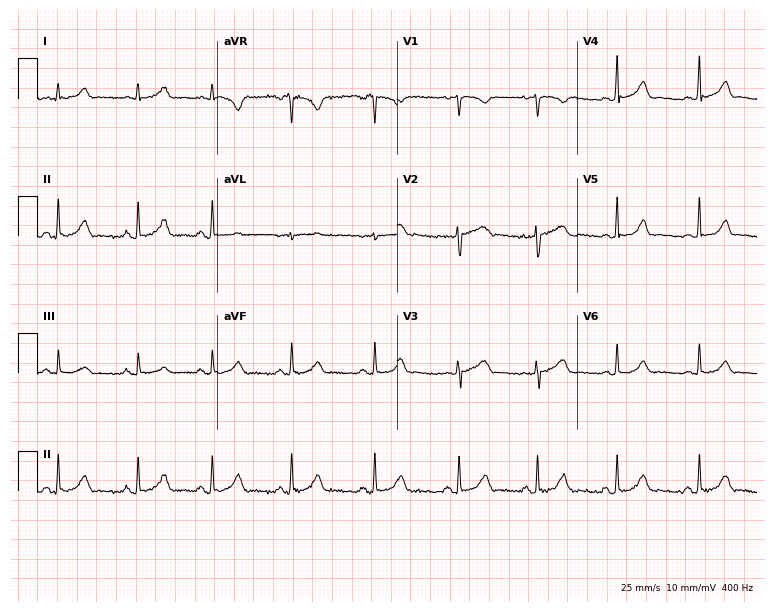
Standard 12-lead ECG recorded from a 28-year-old female patient (7.3-second recording at 400 Hz). Read as a normal ECG.